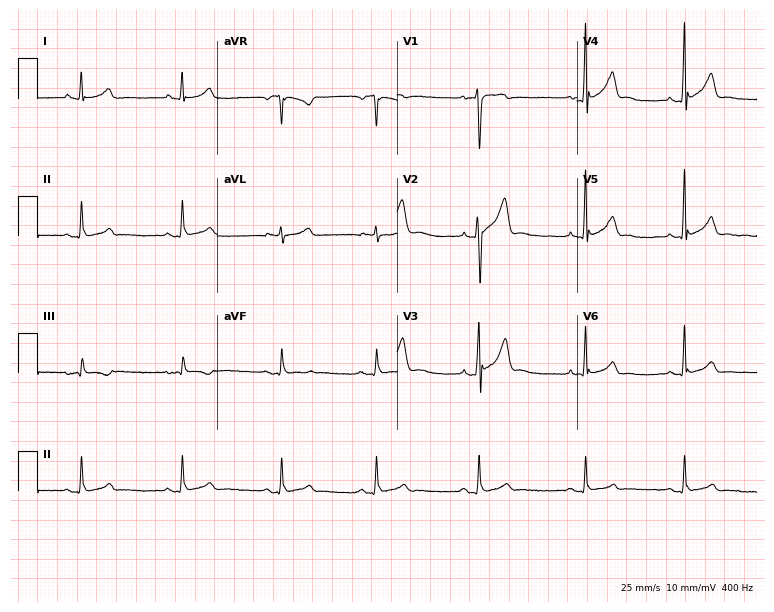
Resting 12-lead electrocardiogram (7.3-second recording at 400 Hz). Patient: a 25-year-old male. None of these six findings is recorded: first-degree AV block, right bundle branch block, left bundle branch block, sinus bradycardia, atrial fibrillation, sinus tachycardia.